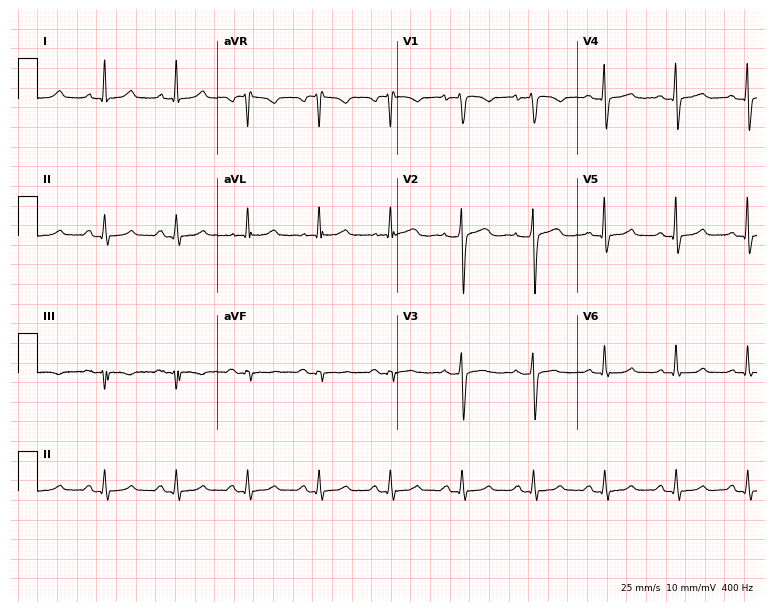
ECG (7.3-second recording at 400 Hz) — a 58-year-old female. Labelled as a normal ECG.